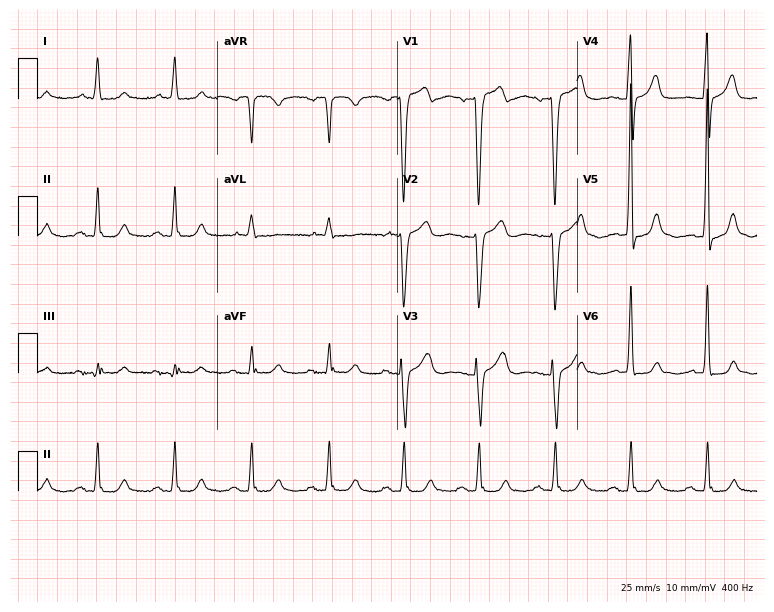
12-lead ECG from a male, 87 years old. No first-degree AV block, right bundle branch block, left bundle branch block, sinus bradycardia, atrial fibrillation or sinus tachycardia recorded for this tracing. Findings outside these six are not listed.